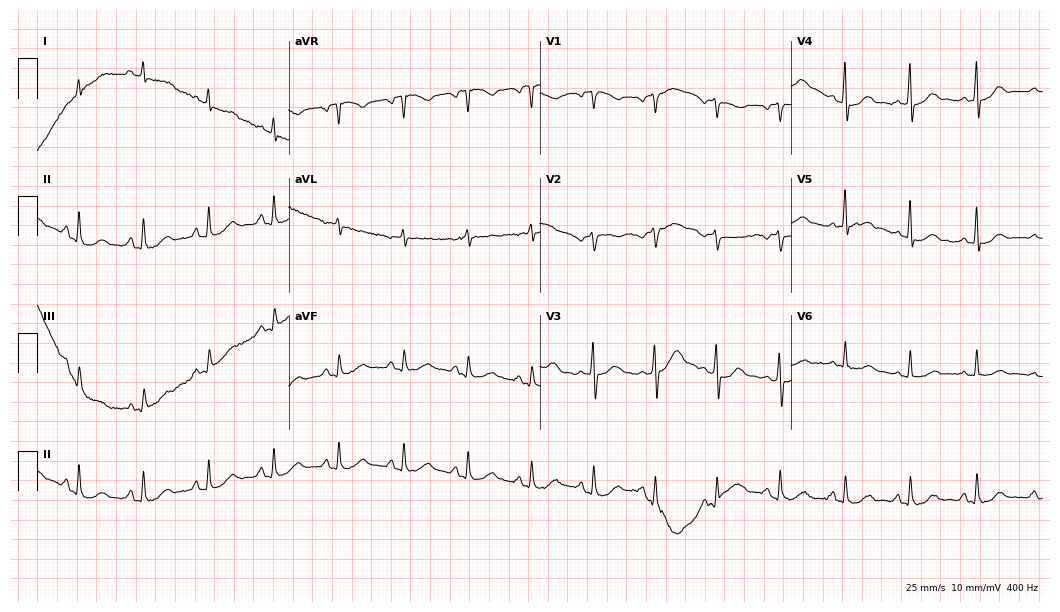
12-lead ECG (10.2-second recording at 400 Hz) from a female patient, 54 years old. Labelled as a normal ECG.